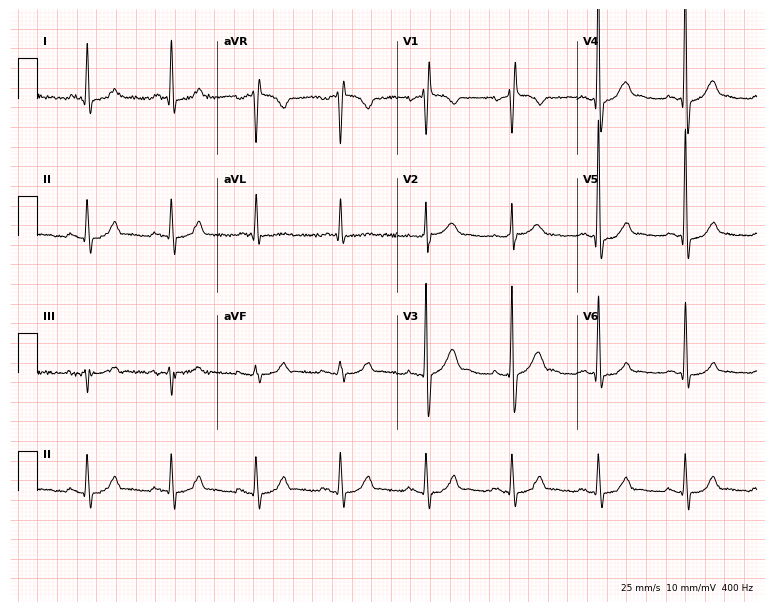
Standard 12-lead ECG recorded from a 72-year-old male patient (7.3-second recording at 400 Hz). None of these six findings is recorded: first-degree AV block, right bundle branch block (RBBB), left bundle branch block (LBBB), sinus bradycardia, atrial fibrillation (AF), sinus tachycardia.